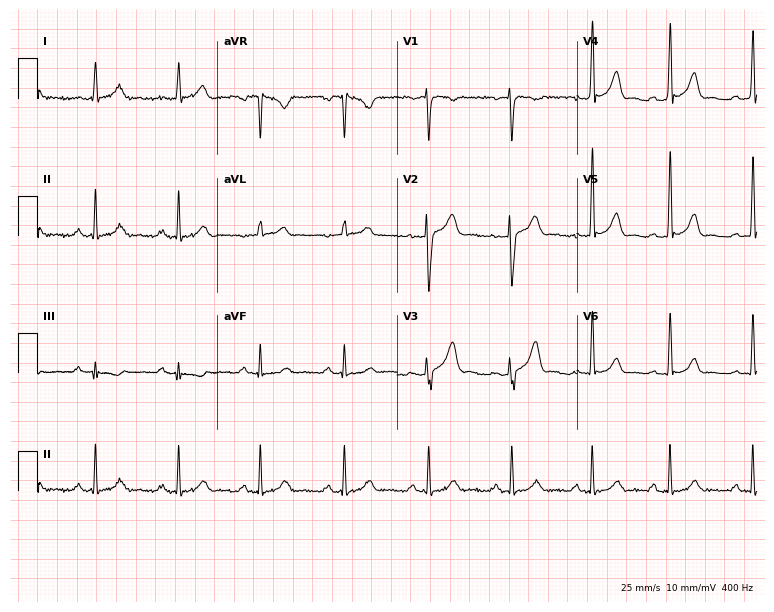
12-lead ECG from a female patient, 30 years old (7.3-second recording at 400 Hz). Recorded interpretation: within normal limits.